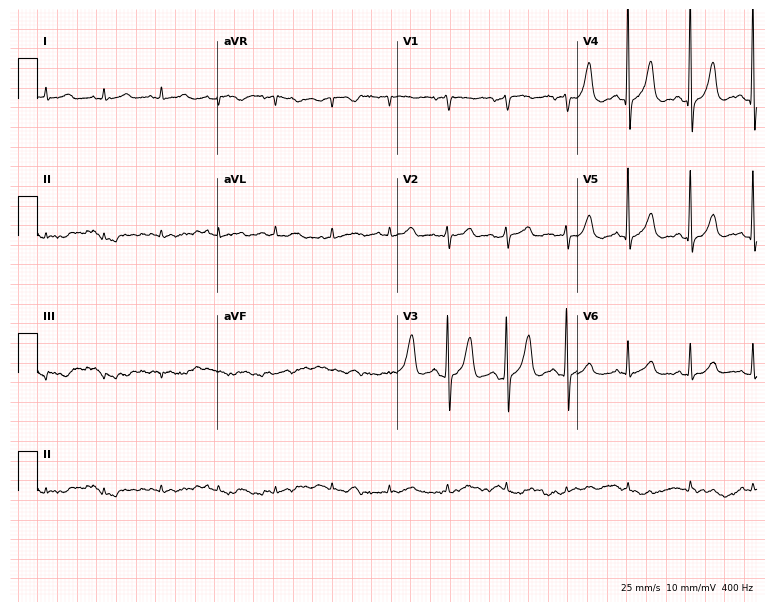
Electrocardiogram, a 78-year-old male. Of the six screened findings (first-degree AV block, right bundle branch block, left bundle branch block, sinus bradycardia, atrial fibrillation, sinus tachycardia), none is recorded.